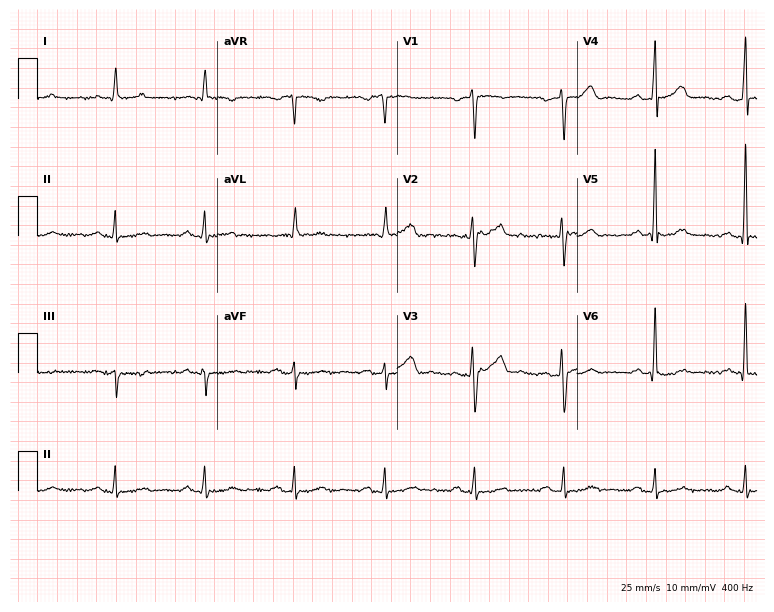
Electrocardiogram (7.3-second recording at 400 Hz), a male, 50 years old. Of the six screened findings (first-degree AV block, right bundle branch block (RBBB), left bundle branch block (LBBB), sinus bradycardia, atrial fibrillation (AF), sinus tachycardia), none is recorded. Findings outside these six are not listed.